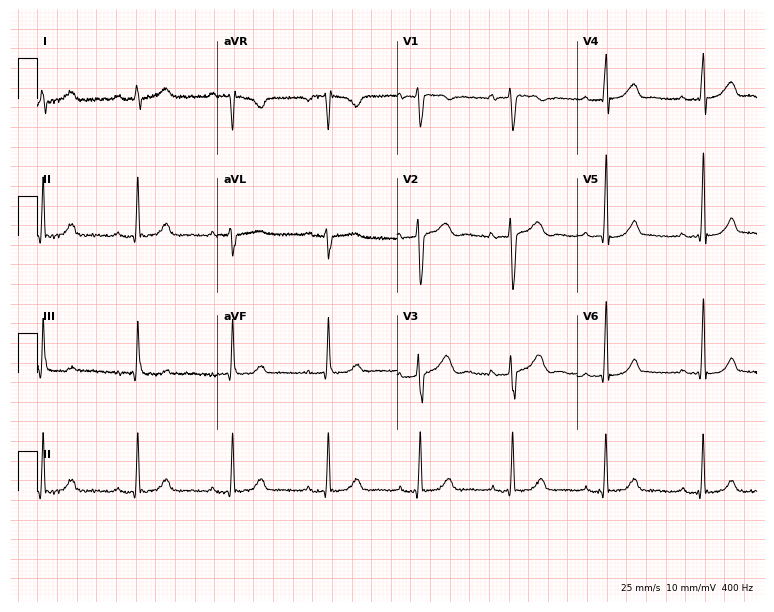
12-lead ECG from a female, 25 years old. Labelled as a normal ECG.